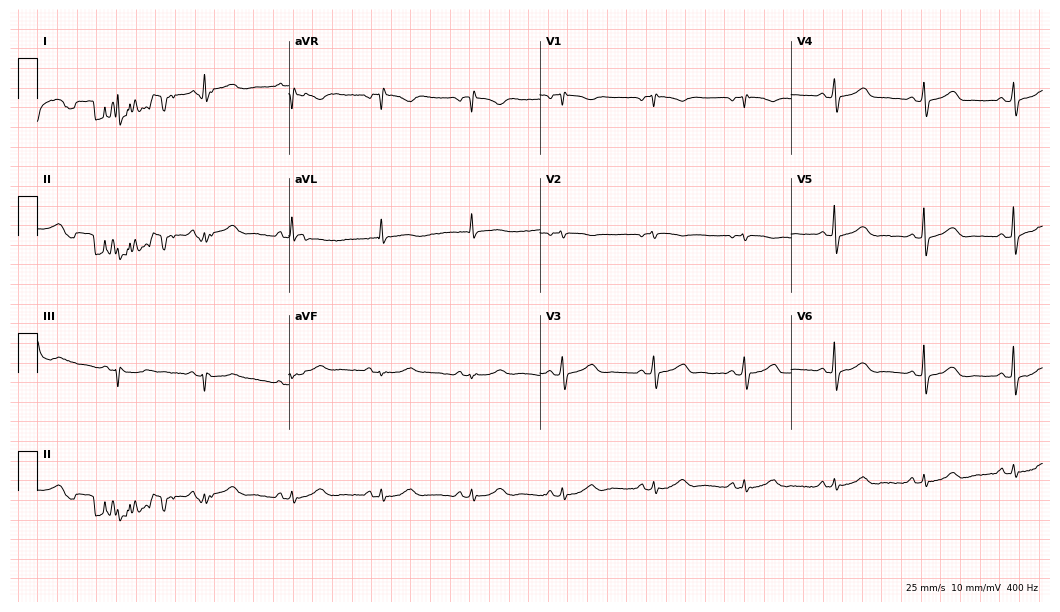
Standard 12-lead ECG recorded from a woman, 60 years old. None of these six findings is recorded: first-degree AV block, right bundle branch block (RBBB), left bundle branch block (LBBB), sinus bradycardia, atrial fibrillation (AF), sinus tachycardia.